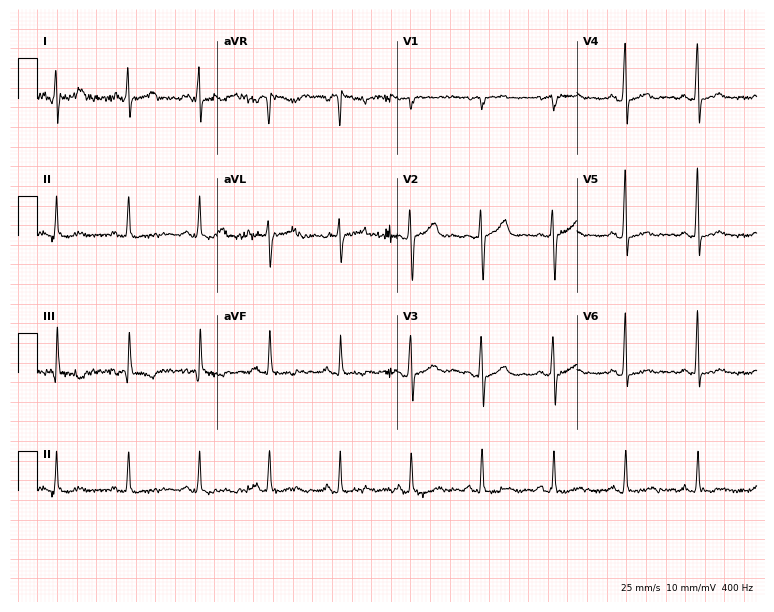
Electrocardiogram, a 54-year-old male patient. Of the six screened findings (first-degree AV block, right bundle branch block (RBBB), left bundle branch block (LBBB), sinus bradycardia, atrial fibrillation (AF), sinus tachycardia), none is recorded. Findings outside these six are not listed.